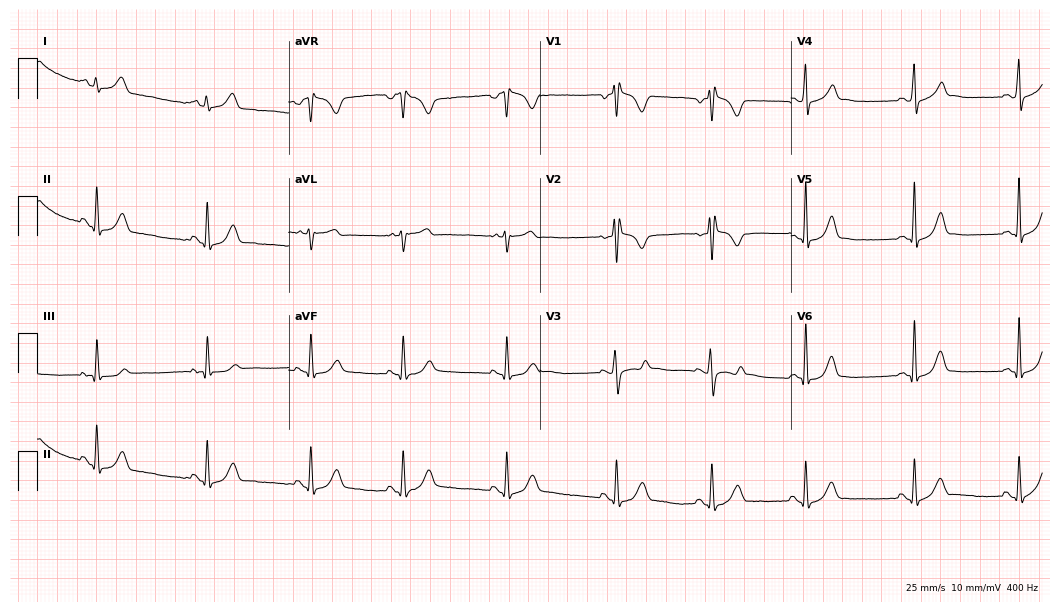
12-lead ECG from an 18-year-old female. Screened for six findings — first-degree AV block, right bundle branch block, left bundle branch block, sinus bradycardia, atrial fibrillation, sinus tachycardia — none is recorded.